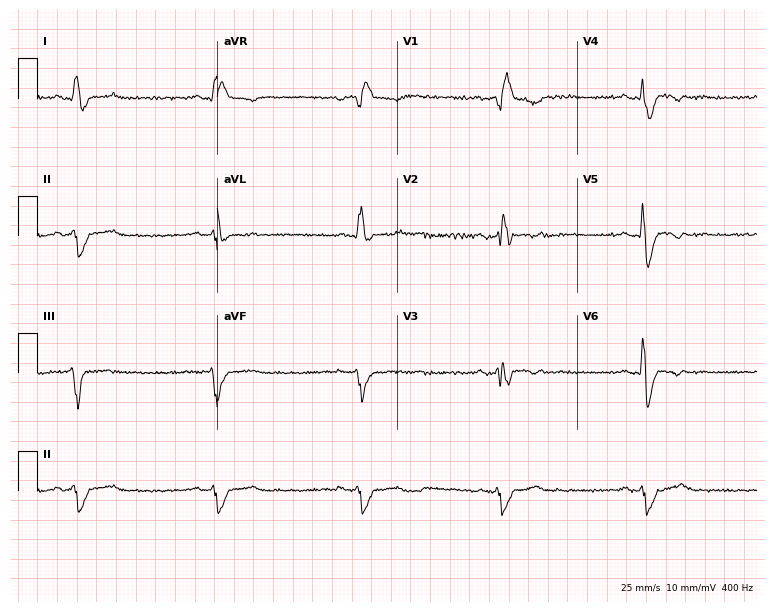
Electrocardiogram, a 40-year-old male. Interpretation includes right bundle branch block, sinus bradycardia (a sinus rate of 50 beats per minute or less).